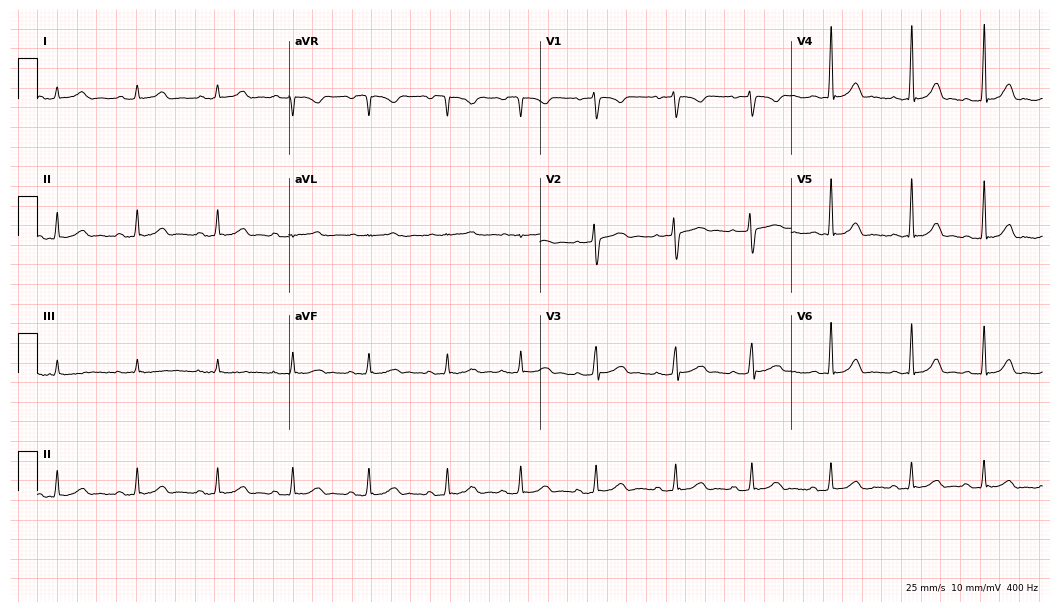
Resting 12-lead electrocardiogram. Patient: a 24-year-old woman. Read as a normal ECG.